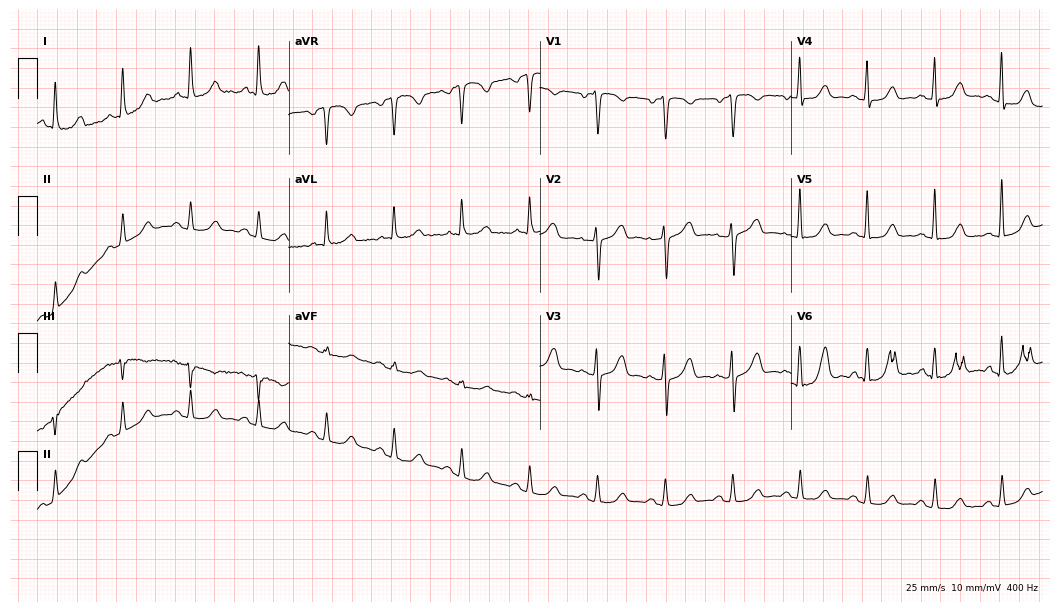
Standard 12-lead ECG recorded from a female patient, 65 years old (10.2-second recording at 400 Hz). Read as a normal ECG.